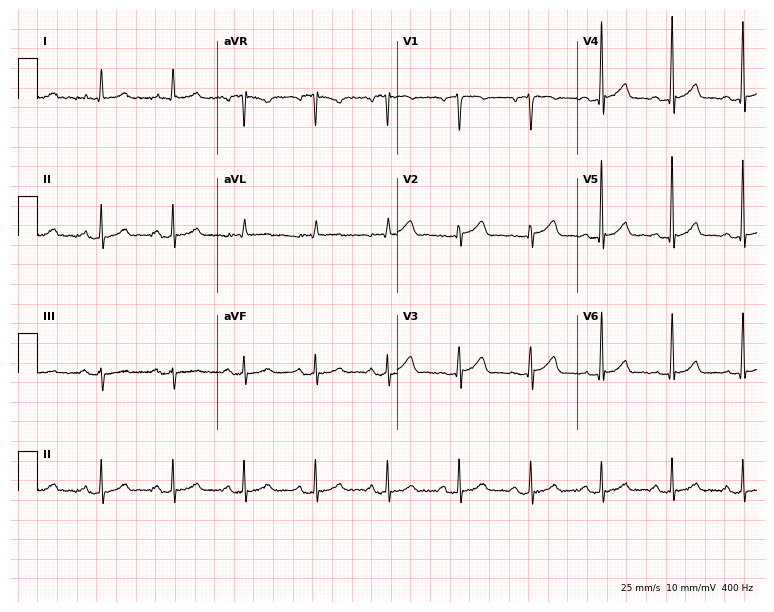
Resting 12-lead electrocardiogram. Patient: a man, 68 years old. Read as a normal ECG.